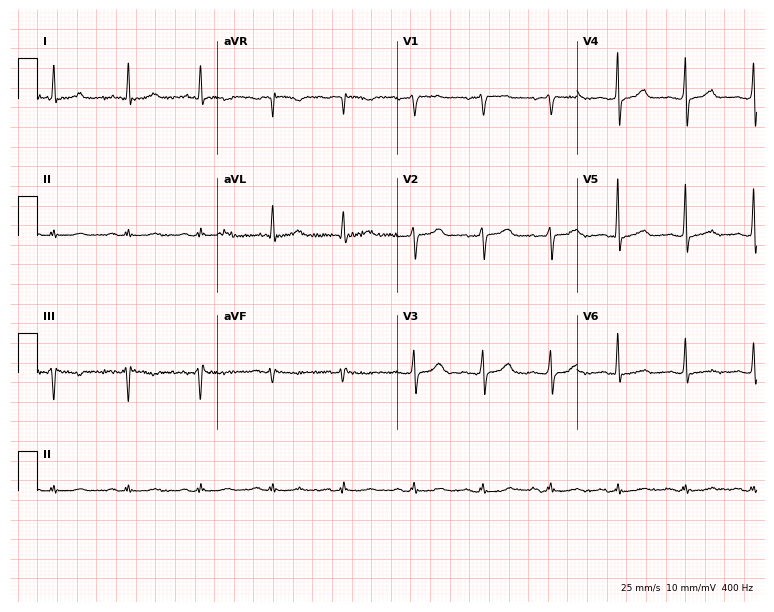
12-lead ECG from a man, 78 years old. Screened for six findings — first-degree AV block, right bundle branch block, left bundle branch block, sinus bradycardia, atrial fibrillation, sinus tachycardia — none is recorded. Findings outside these six are not listed.